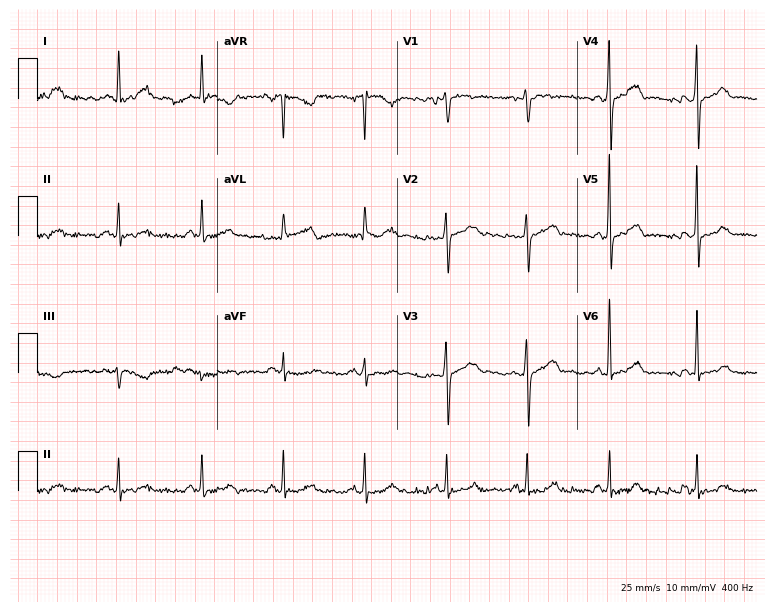
12-lead ECG (7.3-second recording at 400 Hz) from a 50-year-old female patient. Screened for six findings — first-degree AV block, right bundle branch block (RBBB), left bundle branch block (LBBB), sinus bradycardia, atrial fibrillation (AF), sinus tachycardia — none is recorded.